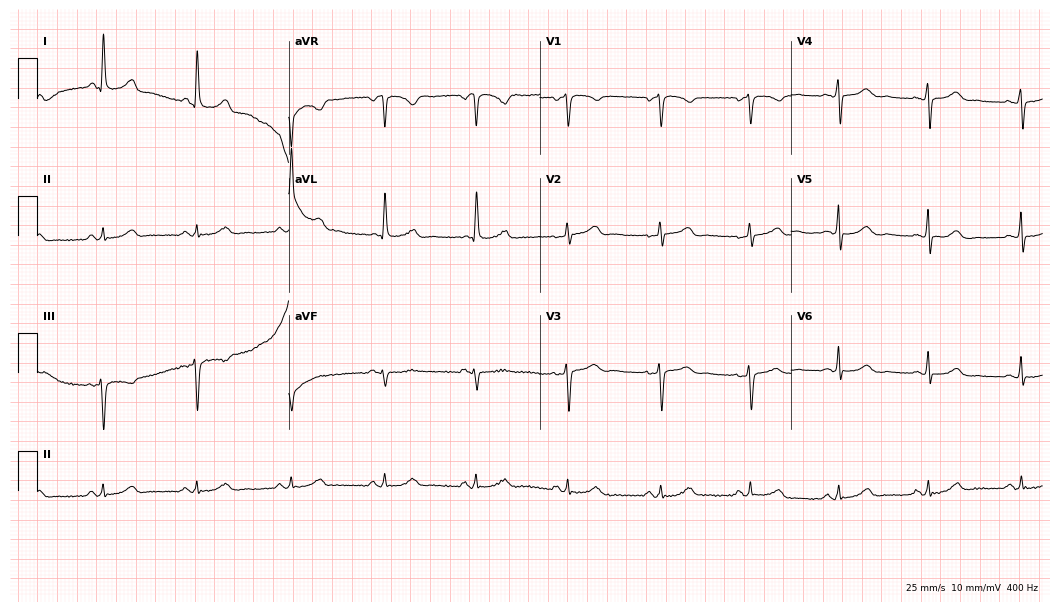
12-lead ECG from a female patient, 56 years old. Labelled as a normal ECG.